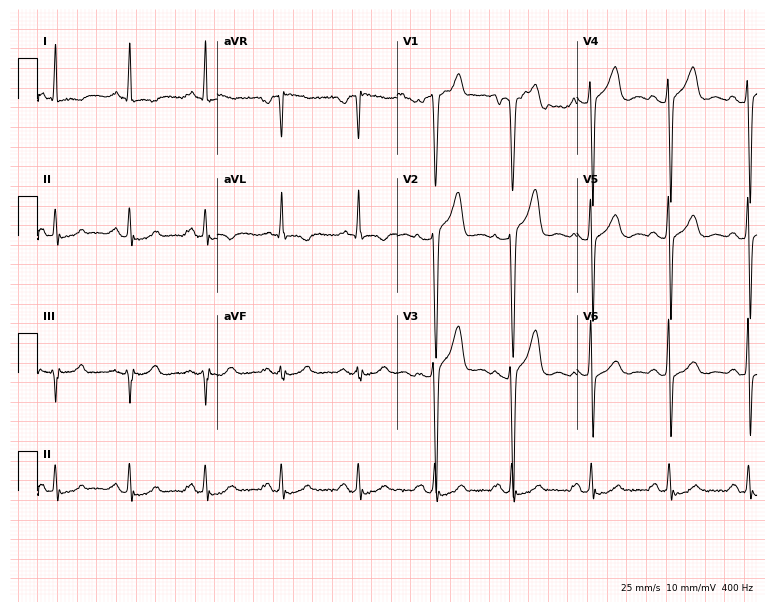
12-lead ECG from a 36-year-old male. No first-degree AV block, right bundle branch block, left bundle branch block, sinus bradycardia, atrial fibrillation or sinus tachycardia recorded for this tracing. Other findings, if any, are not listed.